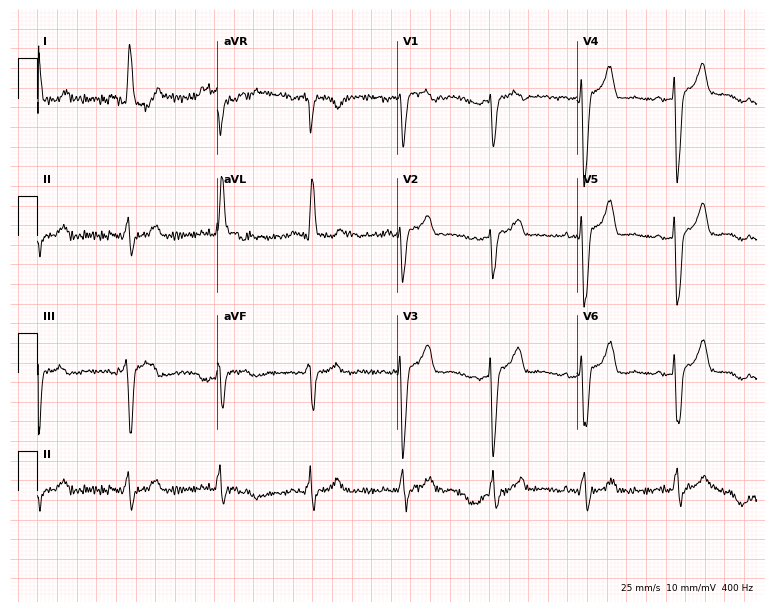
12-lead ECG (7.3-second recording at 400 Hz) from a woman, 85 years old. Screened for six findings — first-degree AV block, right bundle branch block (RBBB), left bundle branch block (LBBB), sinus bradycardia, atrial fibrillation (AF), sinus tachycardia — none is recorded.